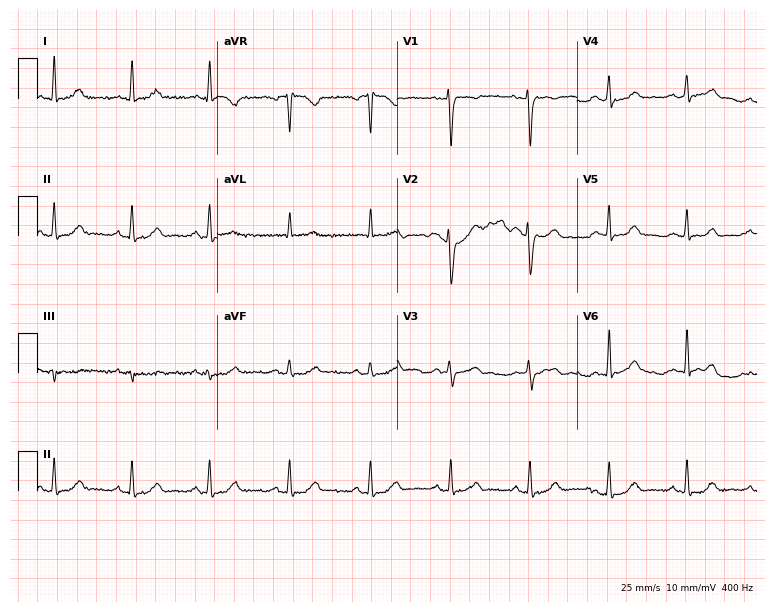
ECG (7.3-second recording at 400 Hz) — a female patient, 42 years old. Screened for six findings — first-degree AV block, right bundle branch block, left bundle branch block, sinus bradycardia, atrial fibrillation, sinus tachycardia — none is recorded. Other findings, if any, are not listed.